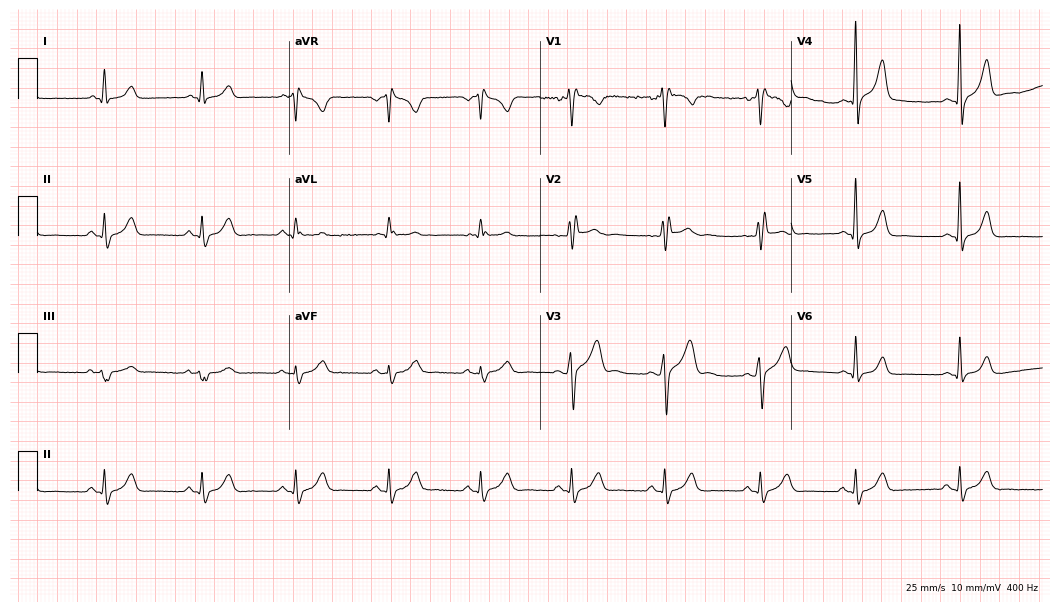
Standard 12-lead ECG recorded from a 28-year-old man (10.2-second recording at 400 Hz). The tracing shows right bundle branch block.